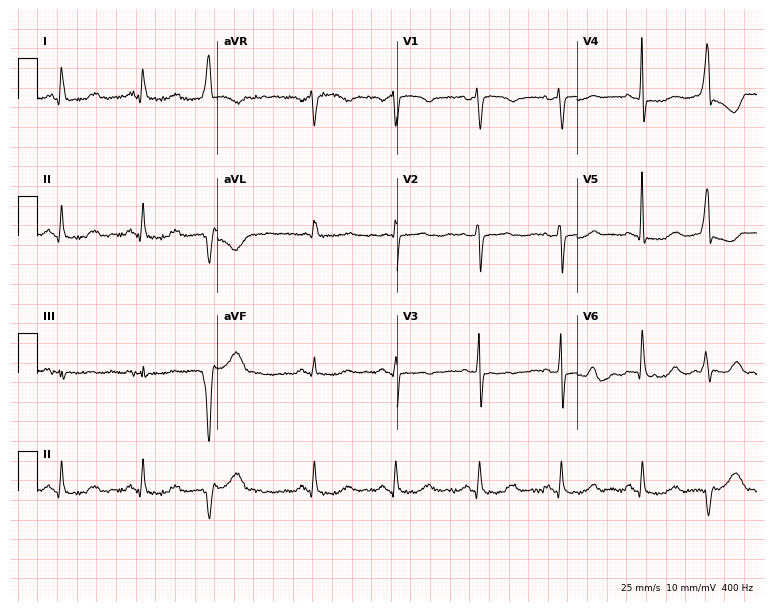
Electrocardiogram (7.3-second recording at 400 Hz), a woman, 62 years old. Of the six screened findings (first-degree AV block, right bundle branch block (RBBB), left bundle branch block (LBBB), sinus bradycardia, atrial fibrillation (AF), sinus tachycardia), none is recorded. Findings outside these six are not listed.